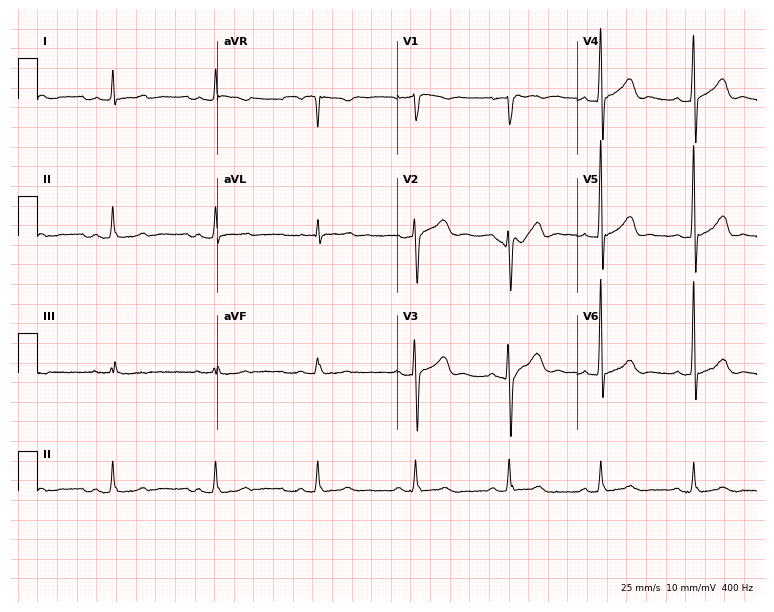
Electrocardiogram (7.3-second recording at 400 Hz), a 57-year-old man. Of the six screened findings (first-degree AV block, right bundle branch block (RBBB), left bundle branch block (LBBB), sinus bradycardia, atrial fibrillation (AF), sinus tachycardia), none is recorded.